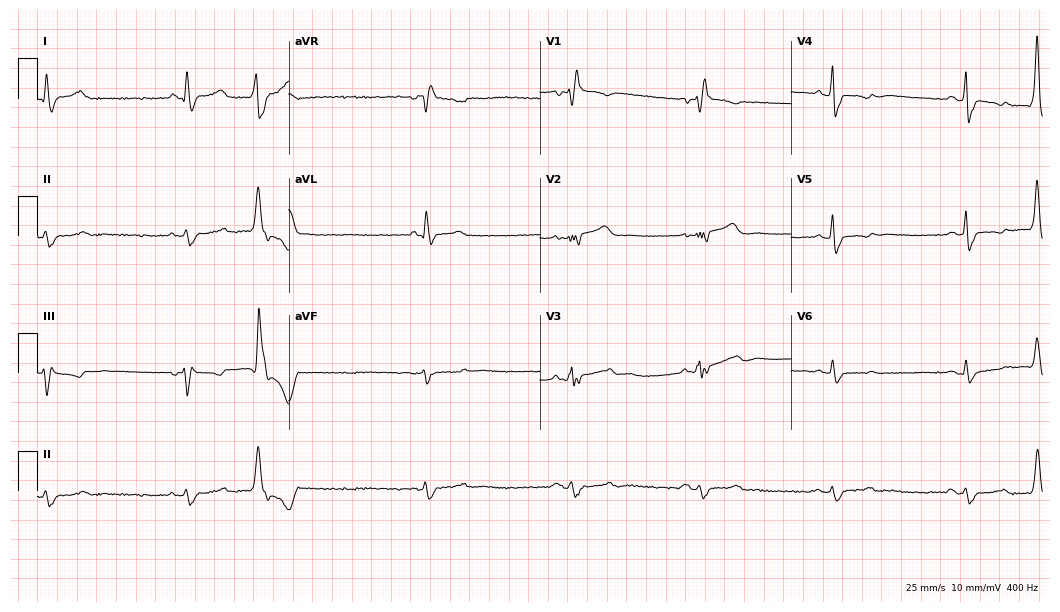
ECG (10.2-second recording at 400 Hz) — a 58-year-old male patient. Findings include right bundle branch block, sinus bradycardia (a sinus rate of 50 beats per minute or less).